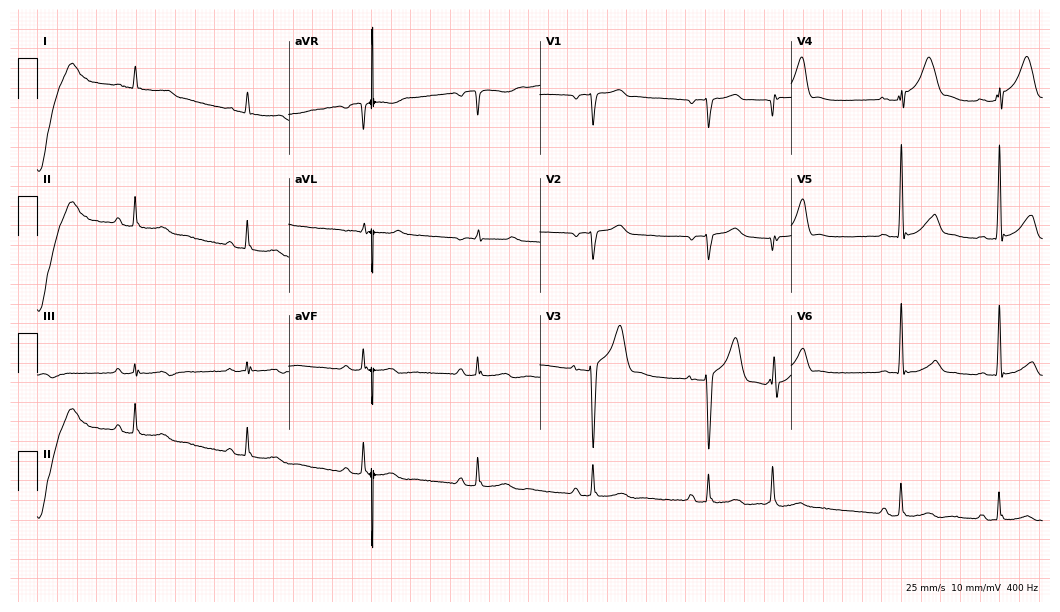
Standard 12-lead ECG recorded from a male patient, 82 years old (10.2-second recording at 400 Hz). None of these six findings is recorded: first-degree AV block, right bundle branch block, left bundle branch block, sinus bradycardia, atrial fibrillation, sinus tachycardia. Only these six findings were labelled.